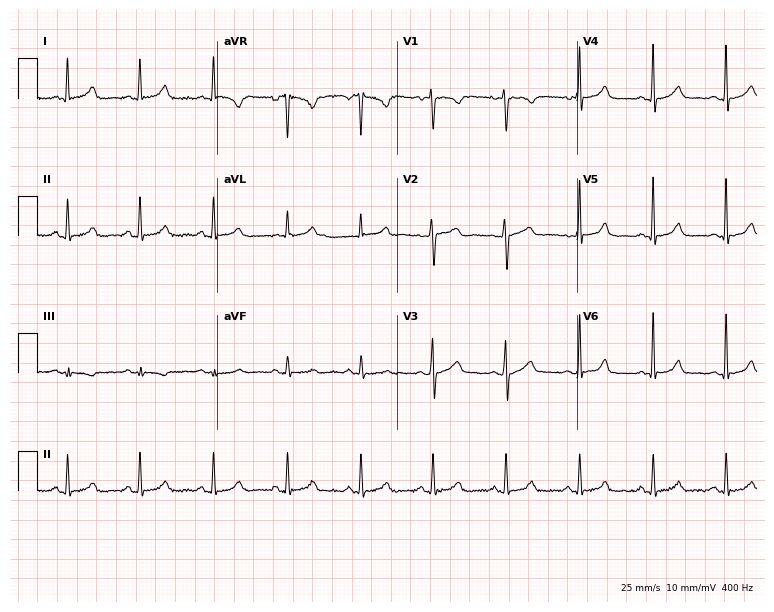
Resting 12-lead electrocardiogram (7.3-second recording at 400 Hz). Patient: a woman, 40 years old. Read as a normal ECG.